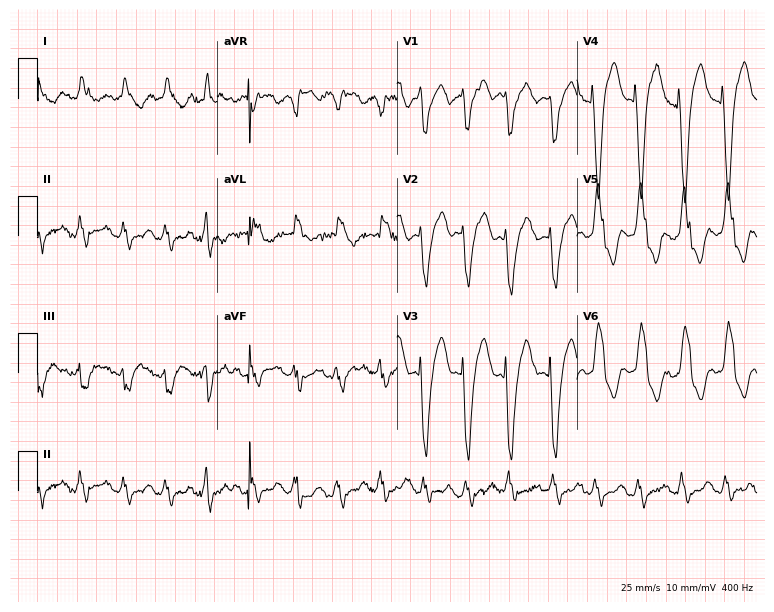
Resting 12-lead electrocardiogram. Patient: a female, 69 years old. None of these six findings is recorded: first-degree AV block, right bundle branch block (RBBB), left bundle branch block (LBBB), sinus bradycardia, atrial fibrillation (AF), sinus tachycardia.